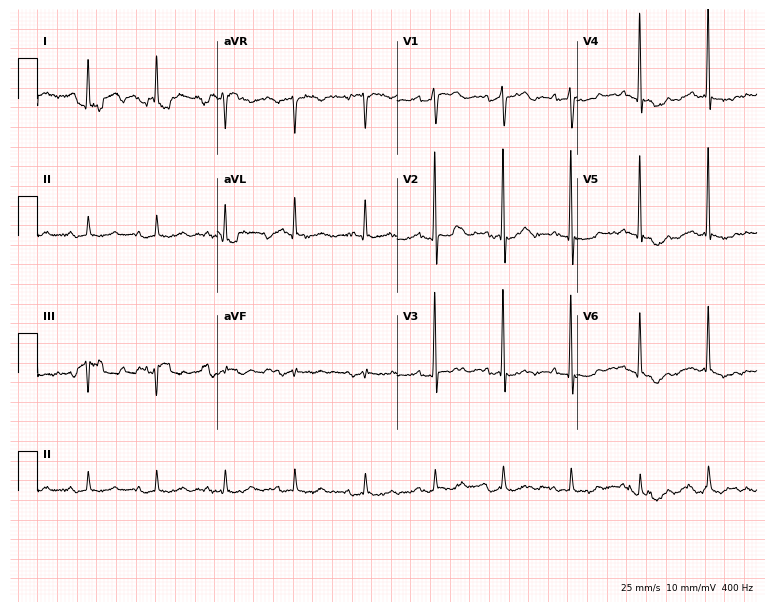
12-lead ECG from an 83-year-old male. Recorded interpretation: within normal limits.